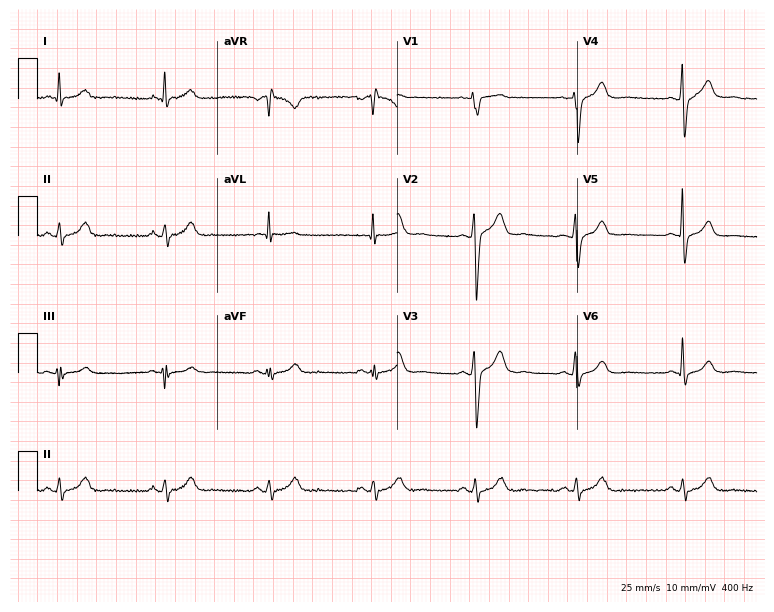
ECG (7.3-second recording at 400 Hz) — a male, 45 years old. Labelled as a normal ECG.